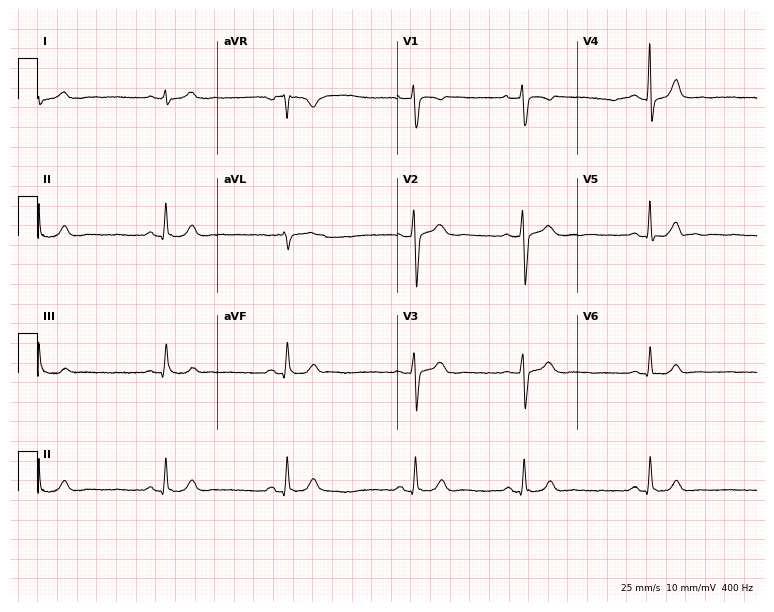
Resting 12-lead electrocardiogram (7.3-second recording at 400 Hz). Patient: a woman, 30 years old. The tracing shows sinus bradycardia (a sinus rate of 50 beats per minute or less).